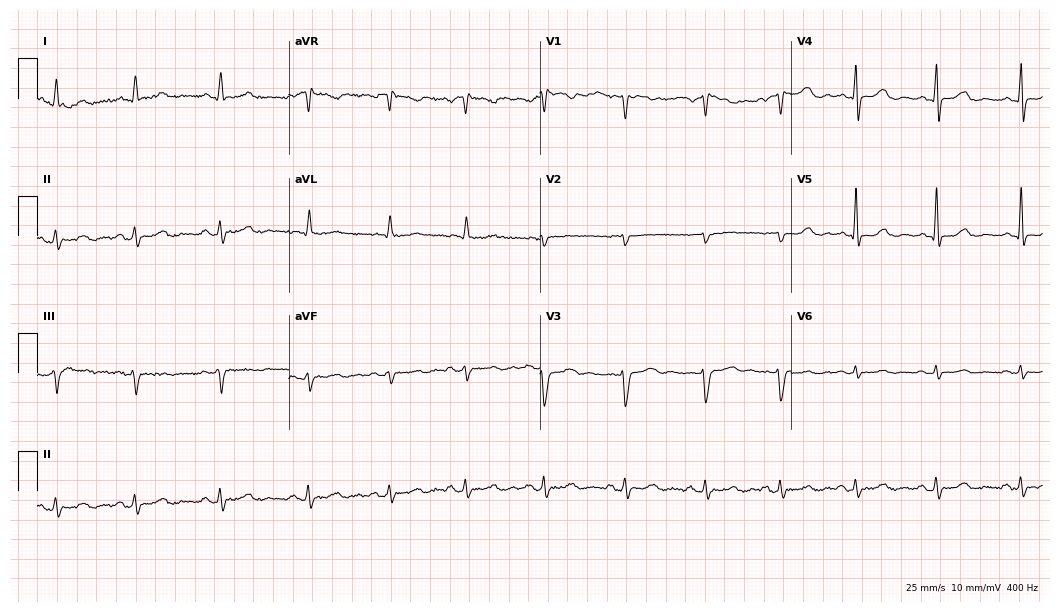
Resting 12-lead electrocardiogram (10.2-second recording at 400 Hz). Patient: a 35-year-old female. Read as a normal ECG.